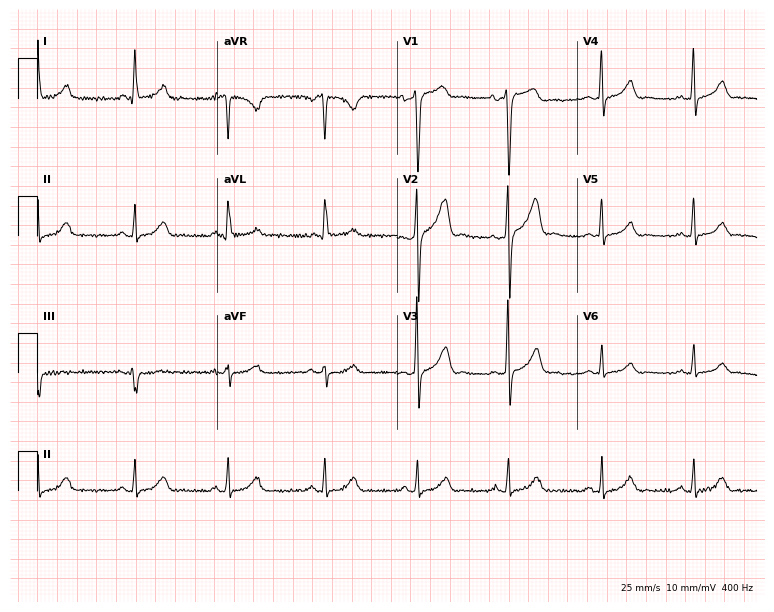
12-lead ECG from a 41-year-old male (7.3-second recording at 400 Hz). Recorded interpretation: within normal limits.